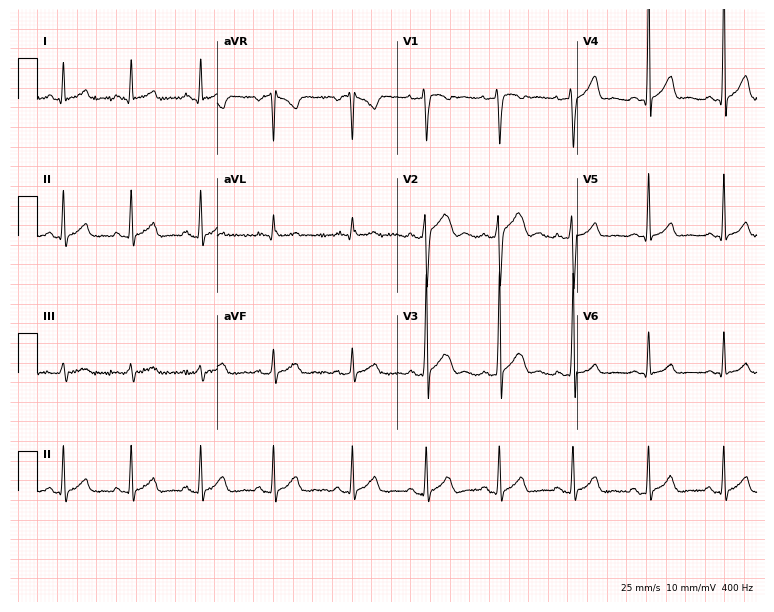
12-lead ECG from a 22-year-old man (7.3-second recording at 400 Hz). Recorded interpretation: within normal limits.